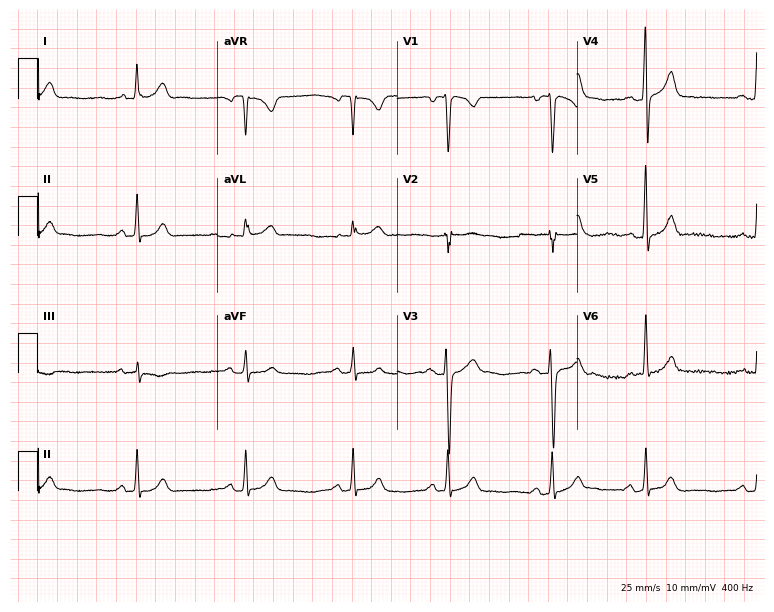
Standard 12-lead ECG recorded from a male patient, 19 years old (7.3-second recording at 400 Hz). Read as a normal ECG.